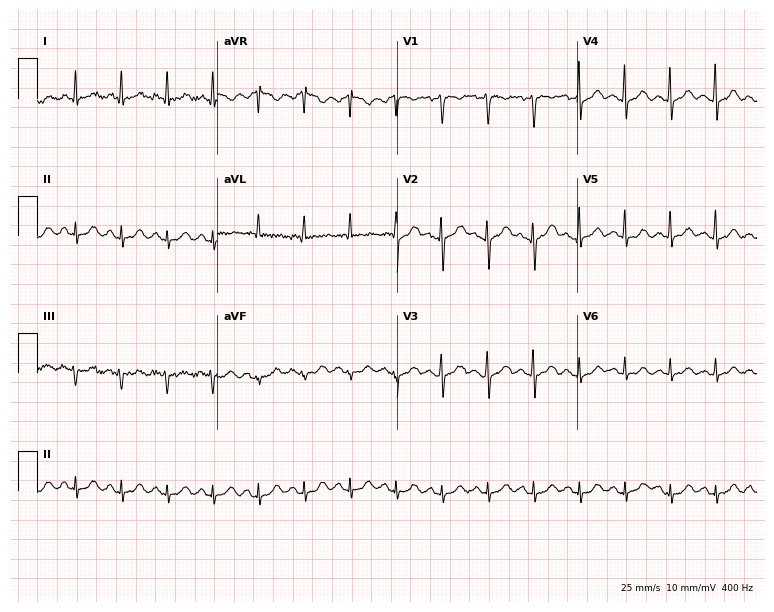
12-lead ECG from a woman, 42 years old. Shows sinus tachycardia (a sinus rate of 100 beats per minute or more).